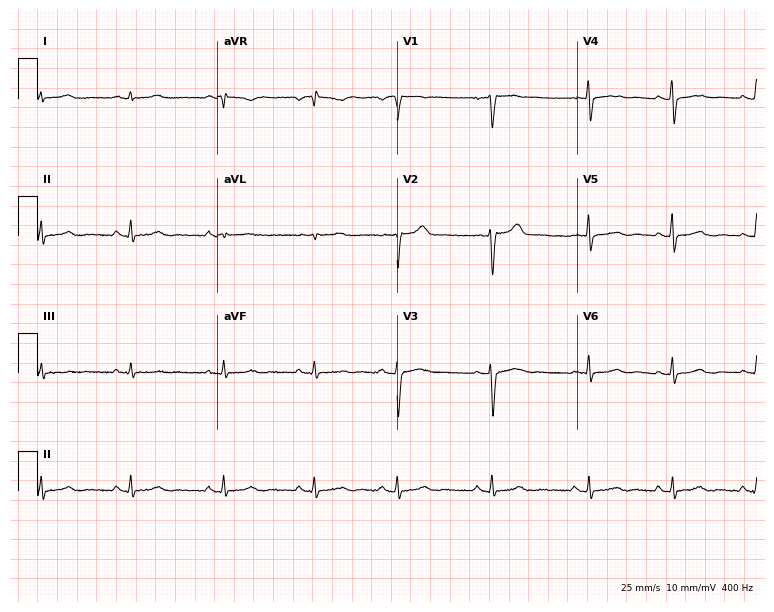
12-lead ECG (7.3-second recording at 400 Hz) from a 36-year-old female. Labelled as a normal ECG.